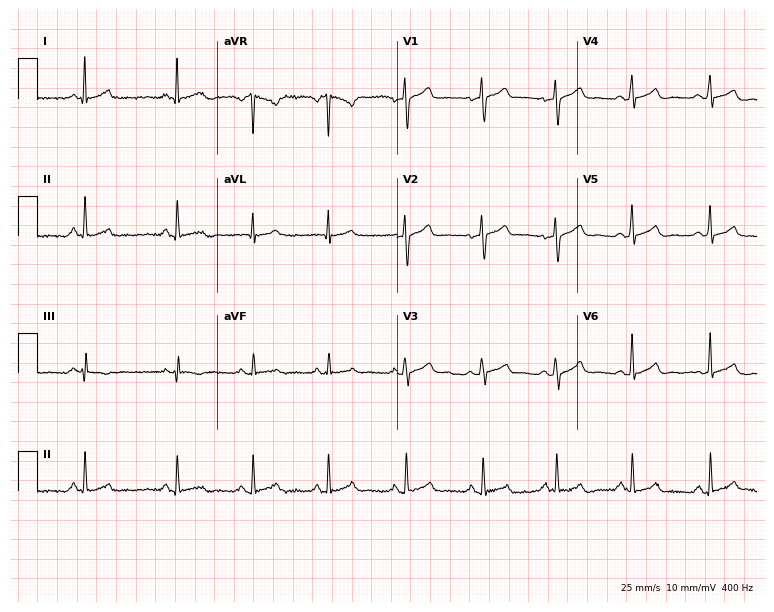
Standard 12-lead ECG recorded from a 44-year-old woman. Read as a normal ECG.